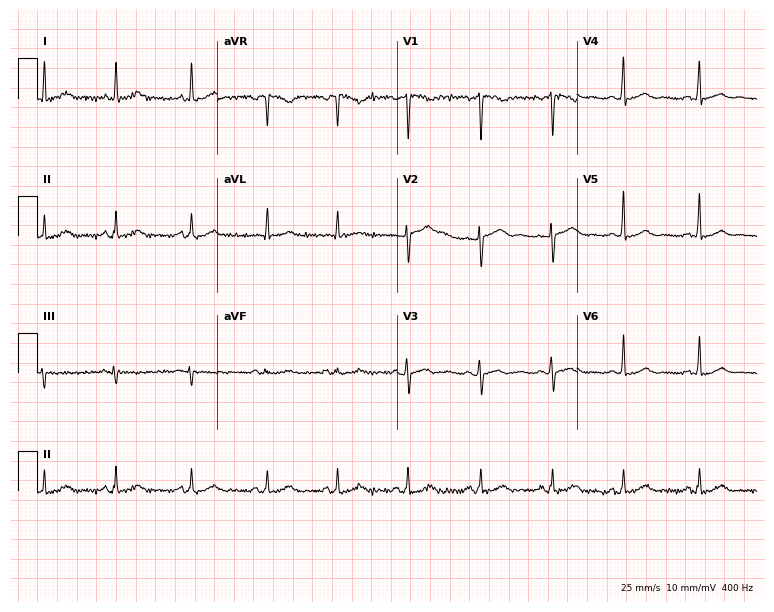
Electrocardiogram, a woman, 45 years old. Overall reading on record: normal ECG.